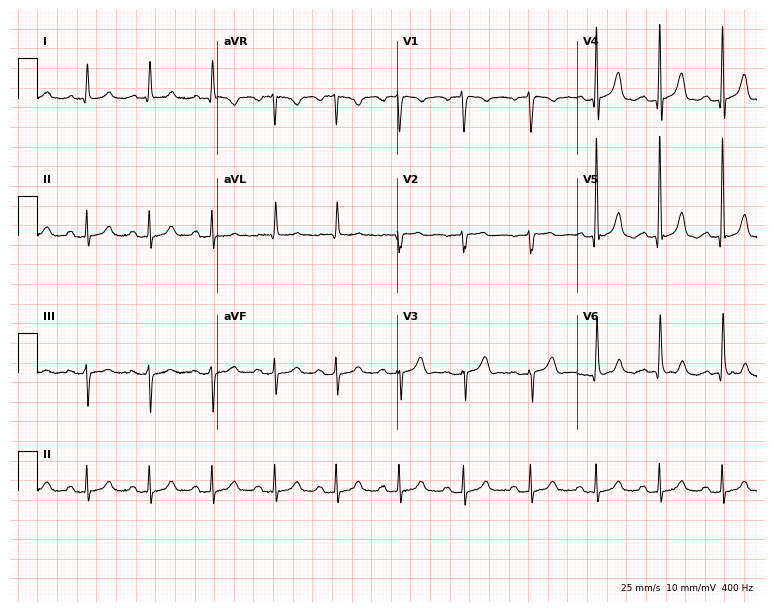
12-lead ECG from an 82-year-old woman. Screened for six findings — first-degree AV block, right bundle branch block, left bundle branch block, sinus bradycardia, atrial fibrillation, sinus tachycardia — none is recorded.